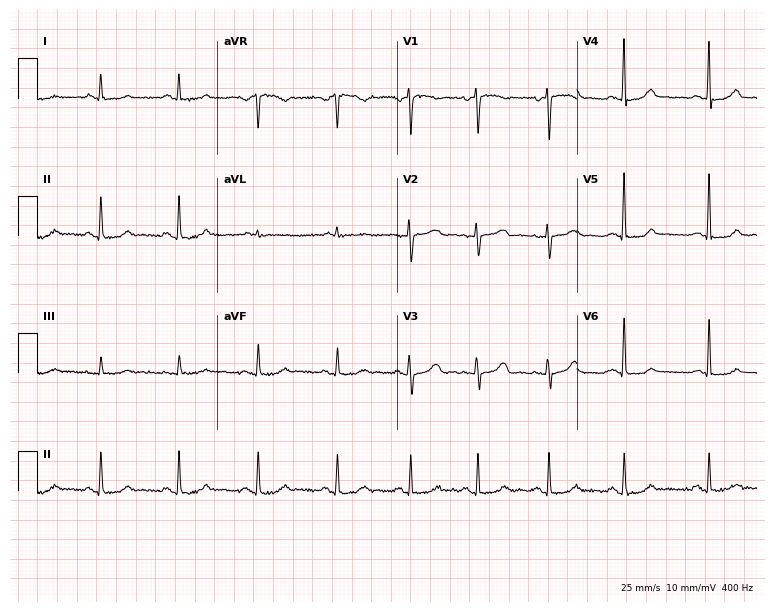
12-lead ECG from a female, 39 years old (7.3-second recording at 400 Hz). No first-degree AV block, right bundle branch block, left bundle branch block, sinus bradycardia, atrial fibrillation or sinus tachycardia recorded for this tracing.